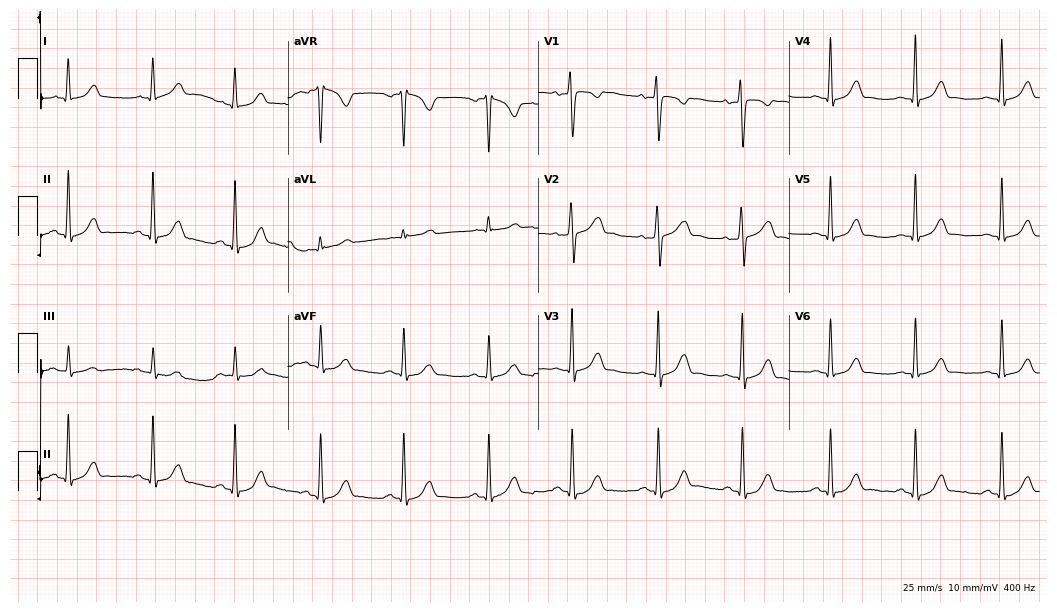
Standard 12-lead ECG recorded from a female patient, 25 years old (10.2-second recording at 400 Hz). Read as a normal ECG.